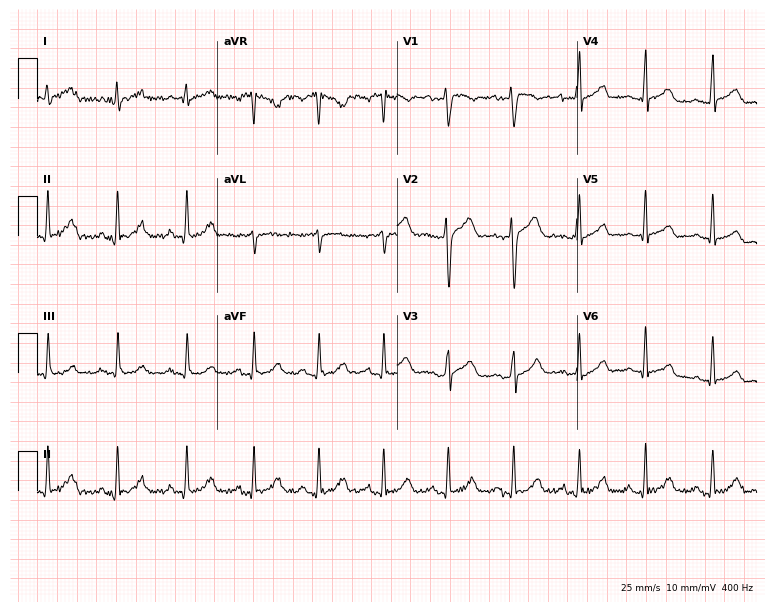
ECG — a 28-year-old man. Screened for six findings — first-degree AV block, right bundle branch block, left bundle branch block, sinus bradycardia, atrial fibrillation, sinus tachycardia — none is recorded.